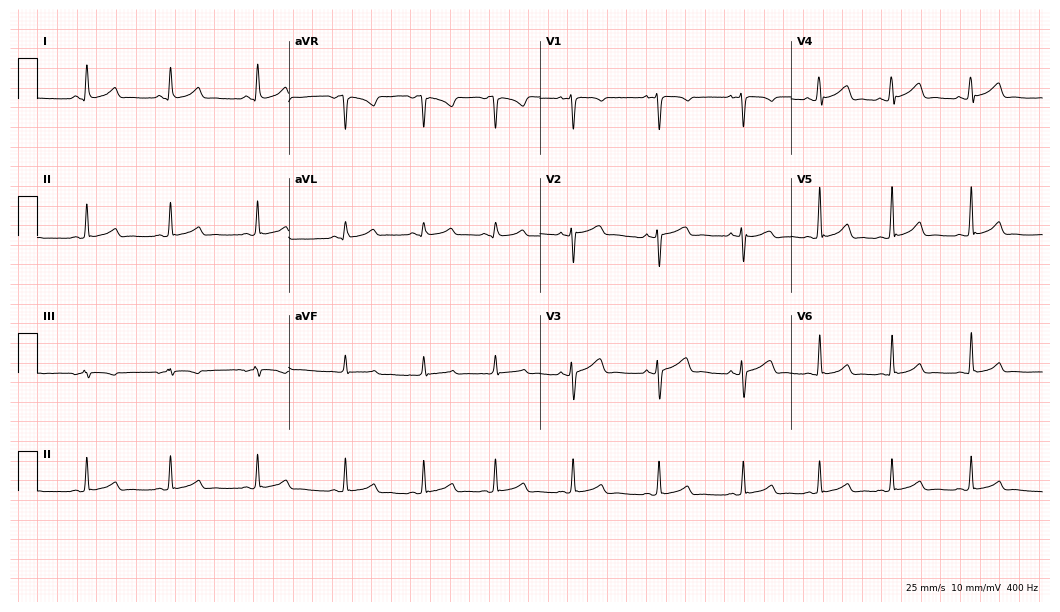
Resting 12-lead electrocardiogram. Patient: a woman, 23 years old. Read as a normal ECG.